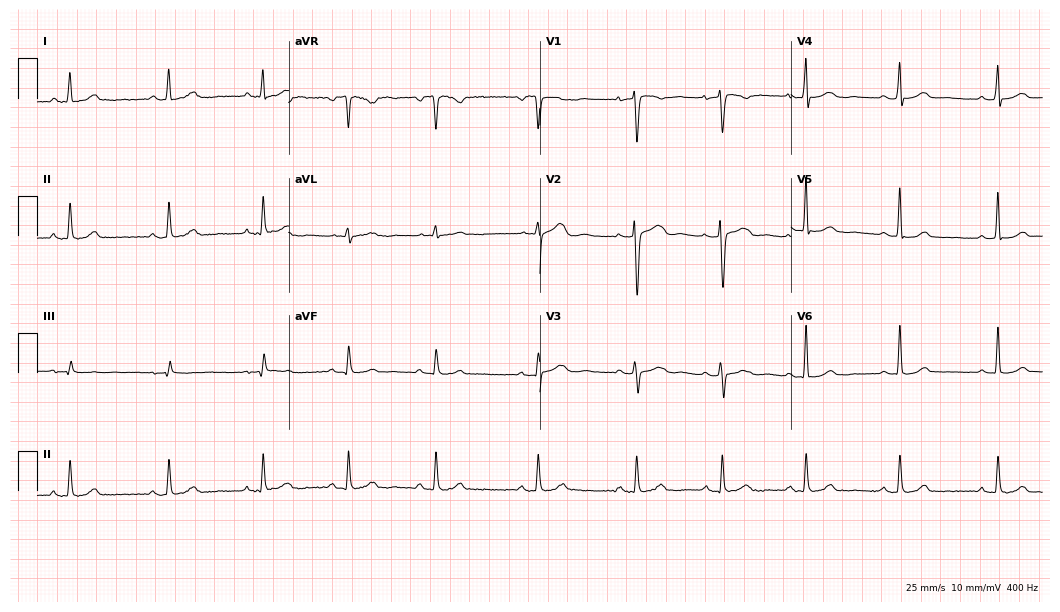
12-lead ECG from a 44-year-old female patient. Labelled as a normal ECG.